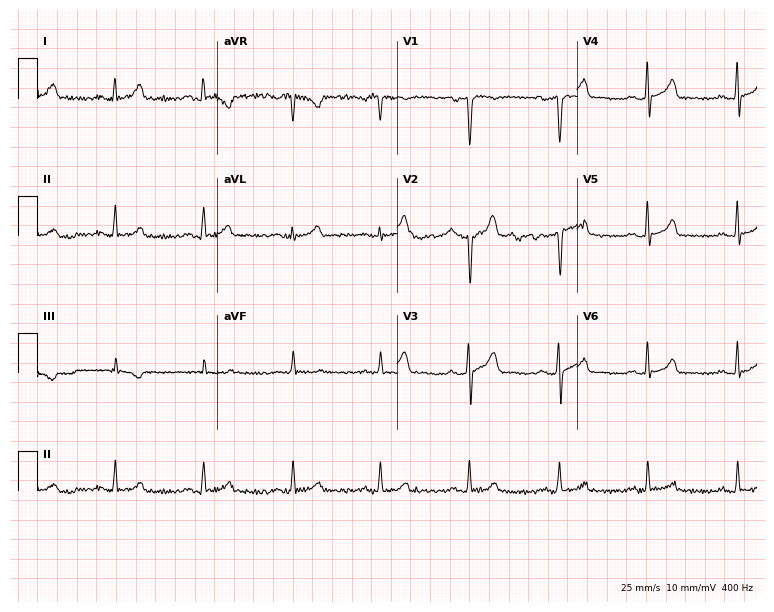
Electrocardiogram (7.3-second recording at 400 Hz), a male patient, 48 years old. Of the six screened findings (first-degree AV block, right bundle branch block (RBBB), left bundle branch block (LBBB), sinus bradycardia, atrial fibrillation (AF), sinus tachycardia), none is recorded.